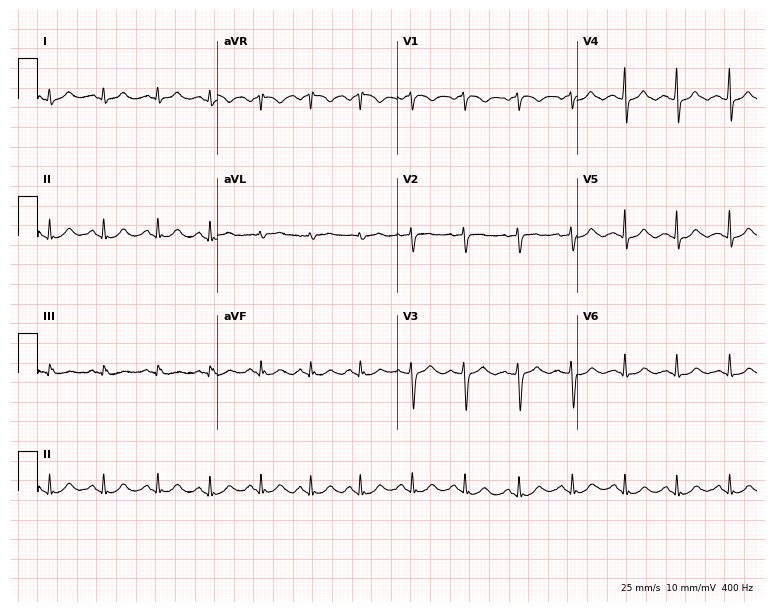
12-lead ECG from a 42-year-old female patient (7.3-second recording at 400 Hz). No first-degree AV block, right bundle branch block, left bundle branch block, sinus bradycardia, atrial fibrillation or sinus tachycardia recorded for this tracing.